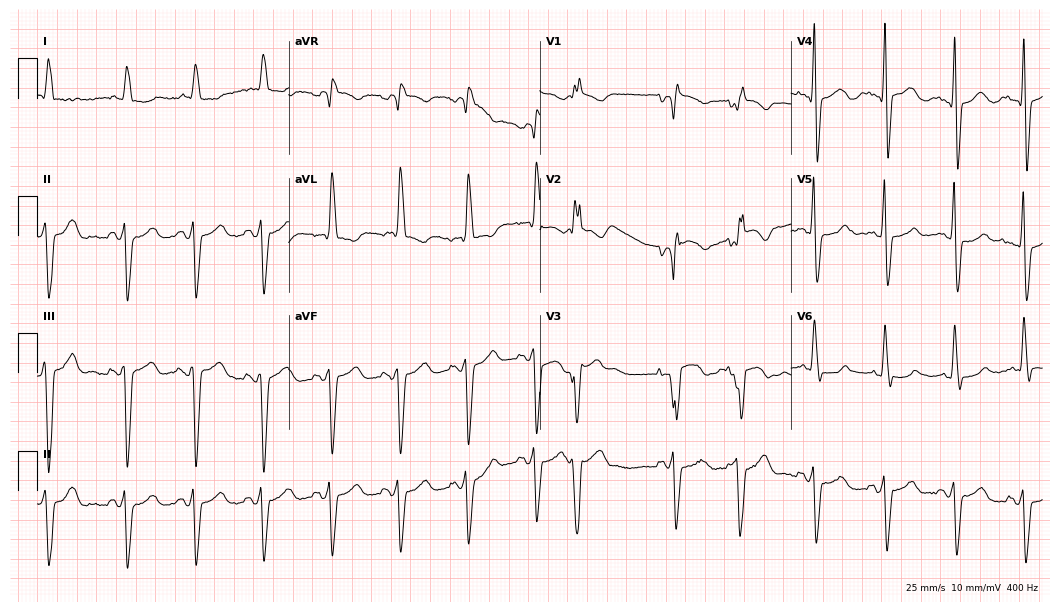
12-lead ECG (10.2-second recording at 400 Hz) from a 64-year-old female patient. Screened for six findings — first-degree AV block, right bundle branch block, left bundle branch block, sinus bradycardia, atrial fibrillation, sinus tachycardia — none is recorded.